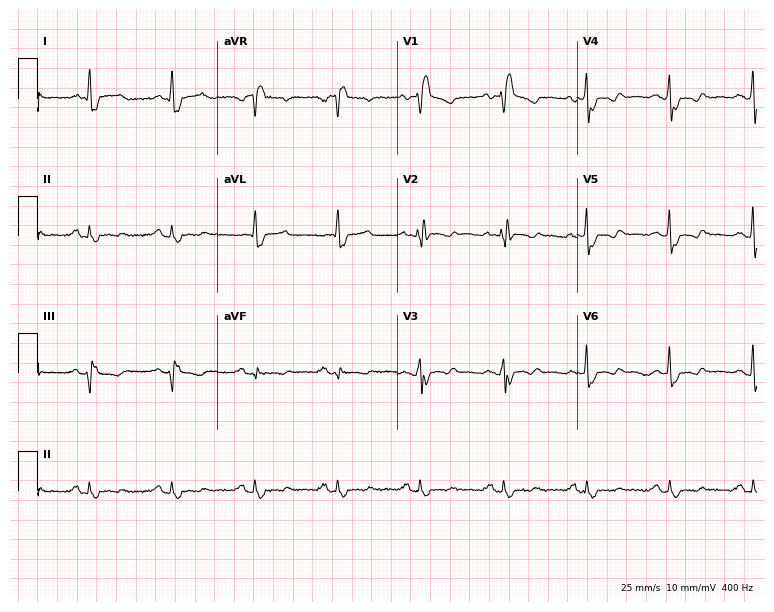
12-lead ECG (7.3-second recording at 400 Hz) from a 55-year-old female patient. Findings include right bundle branch block.